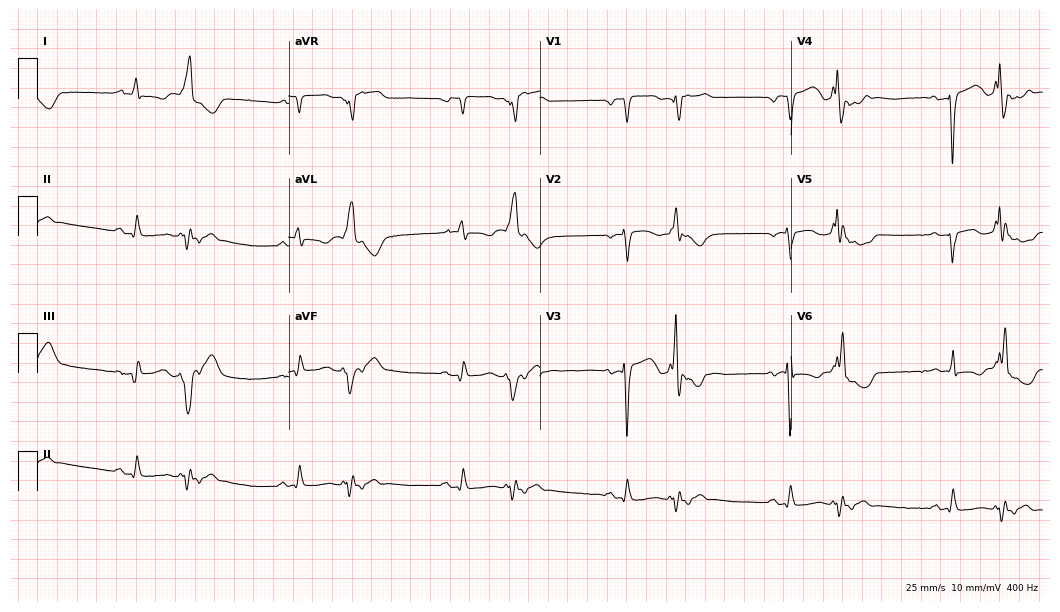
Standard 12-lead ECG recorded from an 81-year-old man (10.2-second recording at 400 Hz). None of these six findings is recorded: first-degree AV block, right bundle branch block, left bundle branch block, sinus bradycardia, atrial fibrillation, sinus tachycardia. Other findings, if any, are not listed.